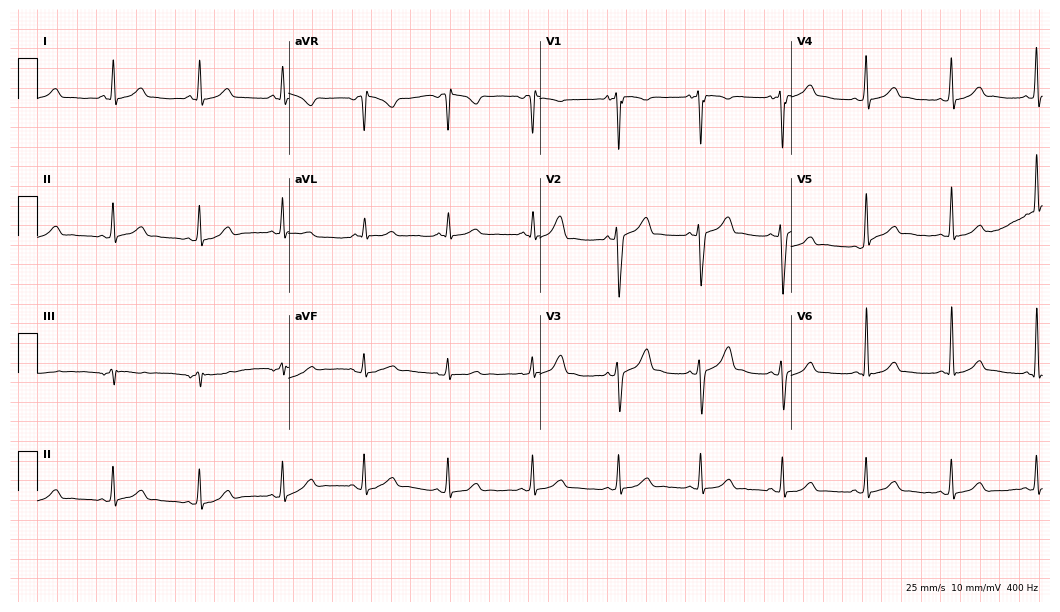
ECG (10.2-second recording at 400 Hz) — a 27-year-old male. Screened for six findings — first-degree AV block, right bundle branch block, left bundle branch block, sinus bradycardia, atrial fibrillation, sinus tachycardia — none is recorded. Findings outside these six are not listed.